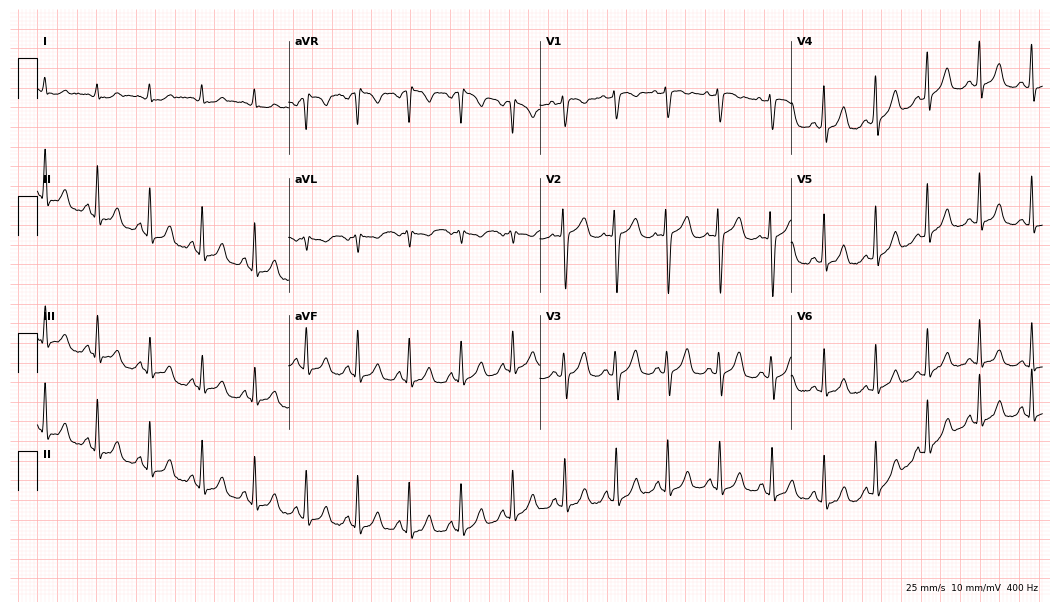
Resting 12-lead electrocardiogram (10.2-second recording at 400 Hz). Patient: a 63-year-old female. The tracing shows sinus tachycardia (a sinus rate of 100 beats per minute or more).